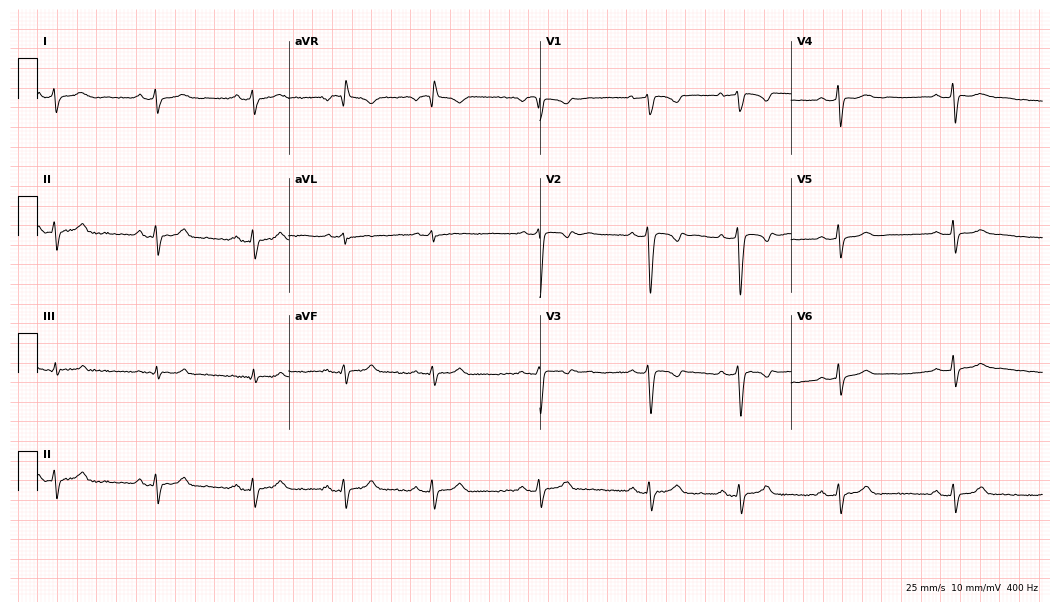
Standard 12-lead ECG recorded from a woman, 22 years old. None of these six findings is recorded: first-degree AV block, right bundle branch block (RBBB), left bundle branch block (LBBB), sinus bradycardia, atrial fibrillation (AF), sinus tachycardia. Findings outside these six are not listed.